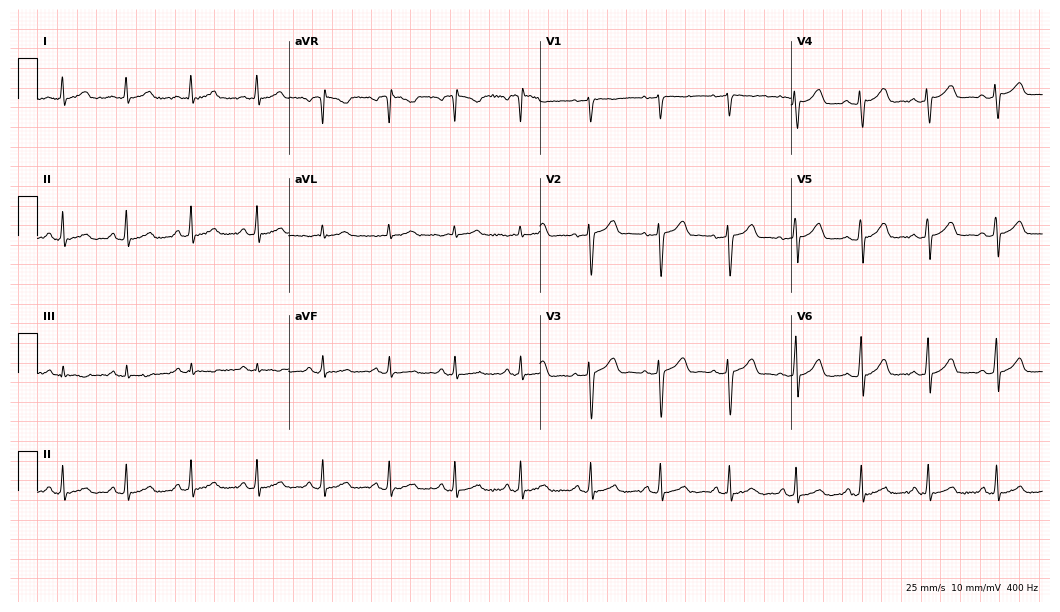
12-lead ECG from a female patient, 43 years old (10.2-second recording at 400 Hz). Recorded interpretation: within normal limits.